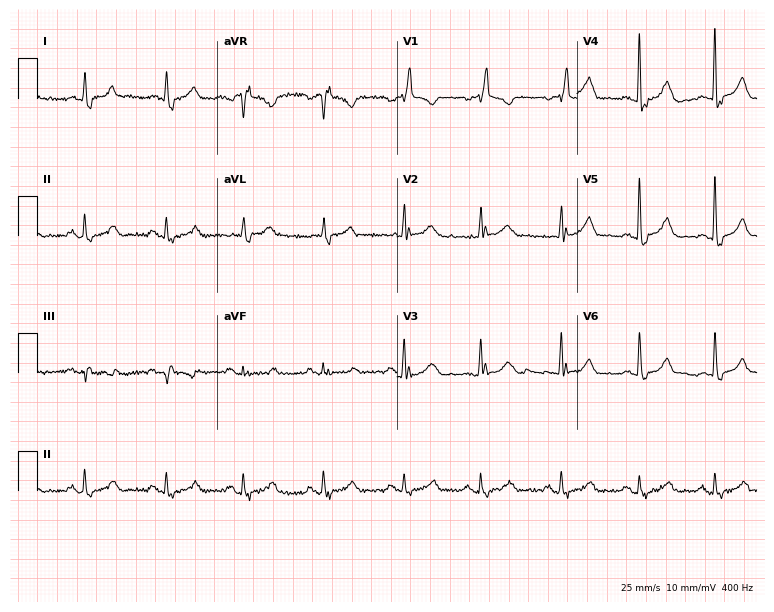
ECG (7.3-second recording at 400 Hz) — a woman, 77 years old. Screened for six findings — first-degree AV block, right bundle branch block, left bundle branch block, sinus bradycardia, atrial fibrillation, sinus tachycardia — none is recorded.